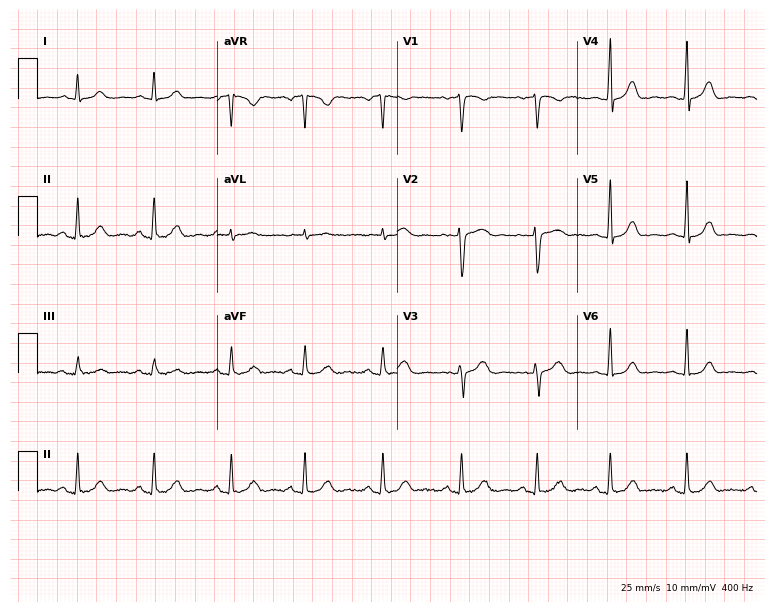
Resting 12-lead electrocardiogram. Patient: a 33-year-old woman. Read as a normal ECG.